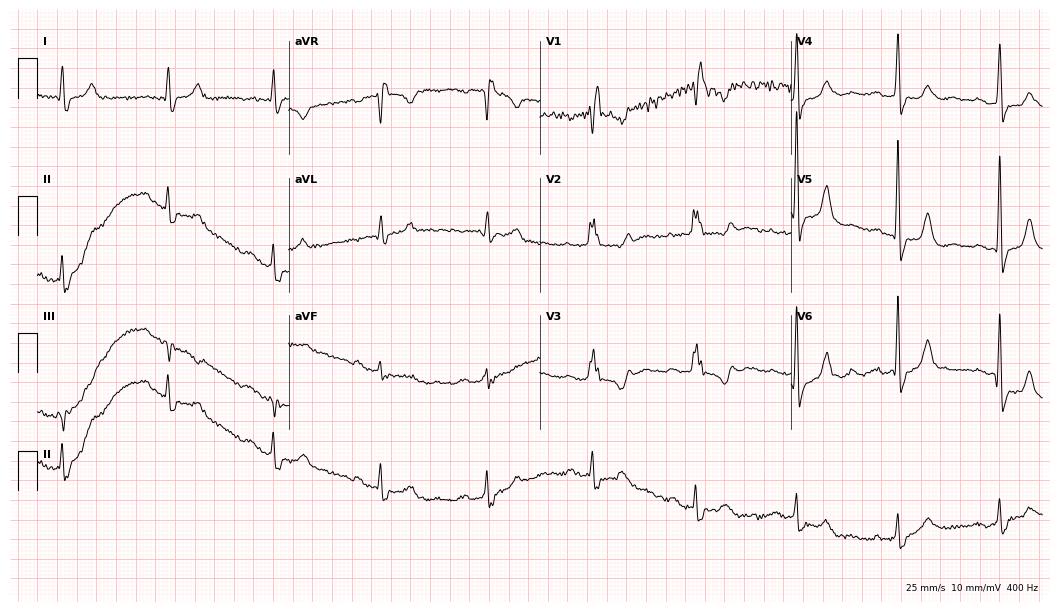
Electrocardiogram (10.2-second recording at 400 Hz), a female, 77 years old. Interpretation includes right bundle branch block.